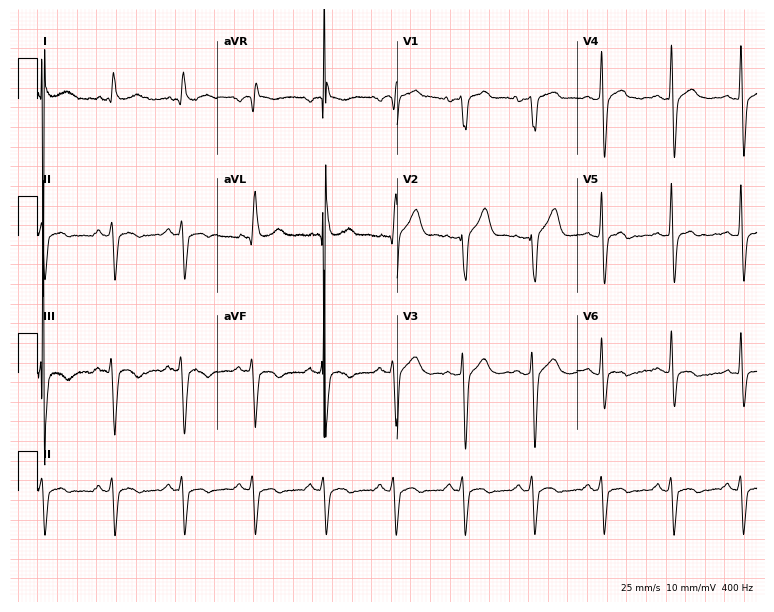
ECG (7.3-second recording at 400 Hz) — a man, 62 years old. Screened for six findings — first-degree AV block, right bundle branch block, left bundle branch block, sinus bradycardia, atrial fibrillation, sinus tachycardia — none is recorded. Only these six findings were labelled.